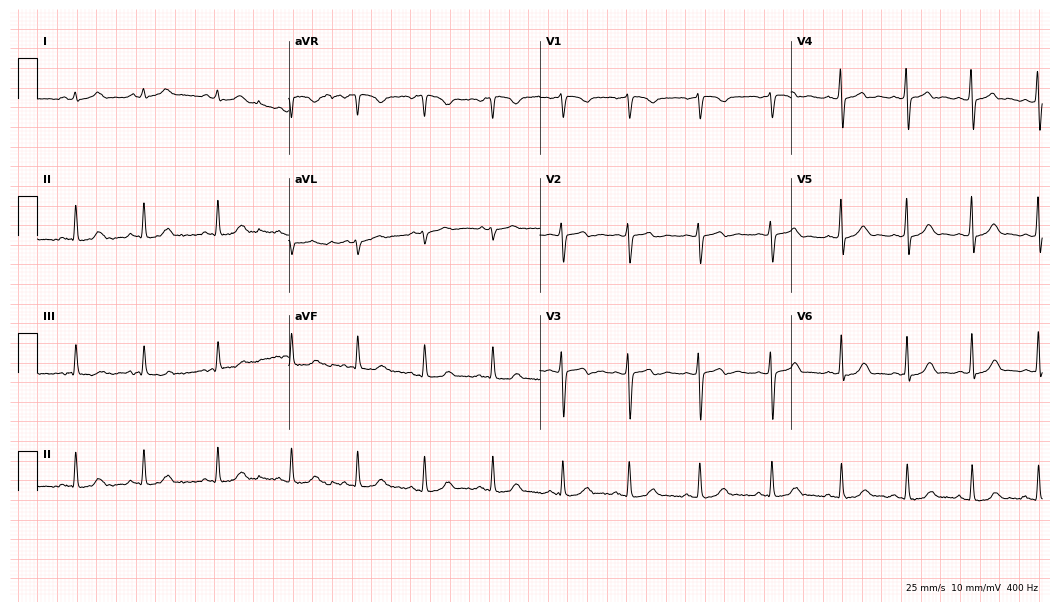
12-lead ECG from a female, 17 years old. No first-degree AV block, right bundle branch block, left bundle branch block, sinus bradycardia, atrial fibrillation or sinus tachycardia recorded for this tracing.